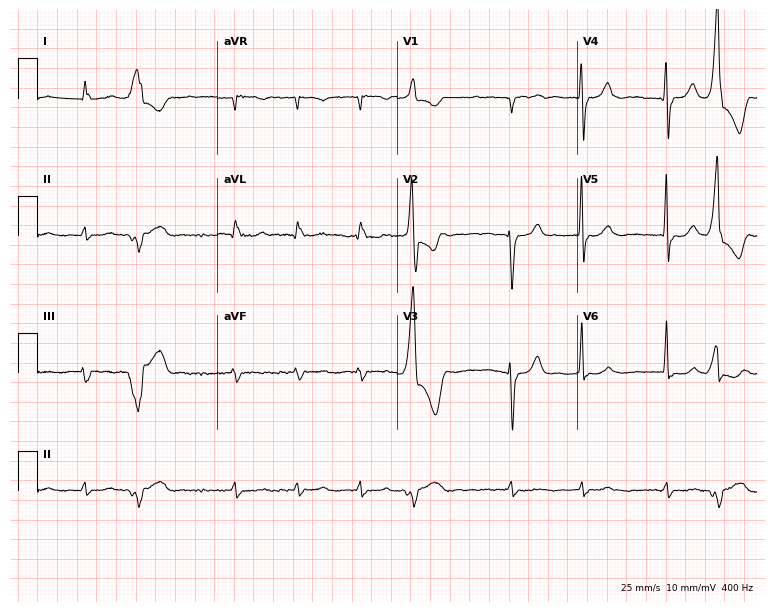
12-lead ECG (7.3-second recording at 400 Hz) from a male, 74 years old. Findings include atrial fibrillation.